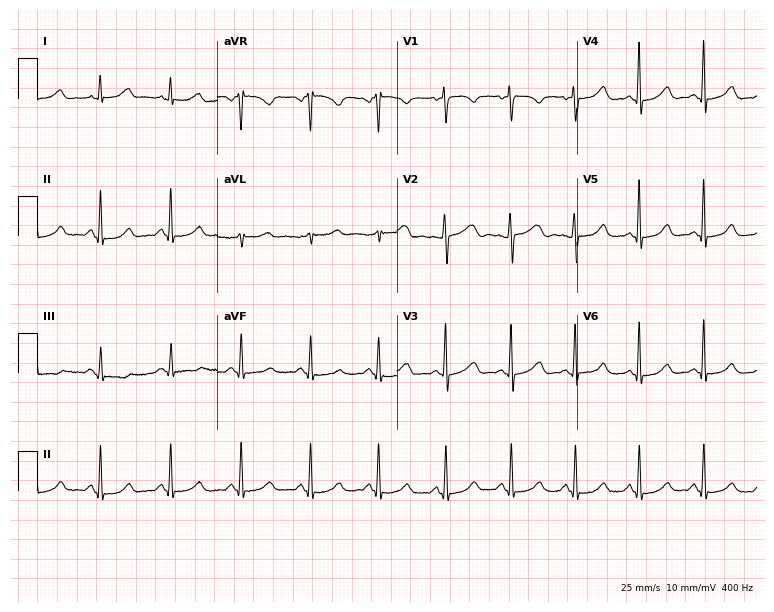
Standard 12-lead ECG recorded from a female patient, 45 years old (7.3-second recording at 400 Hz). Read as a normal ECG.